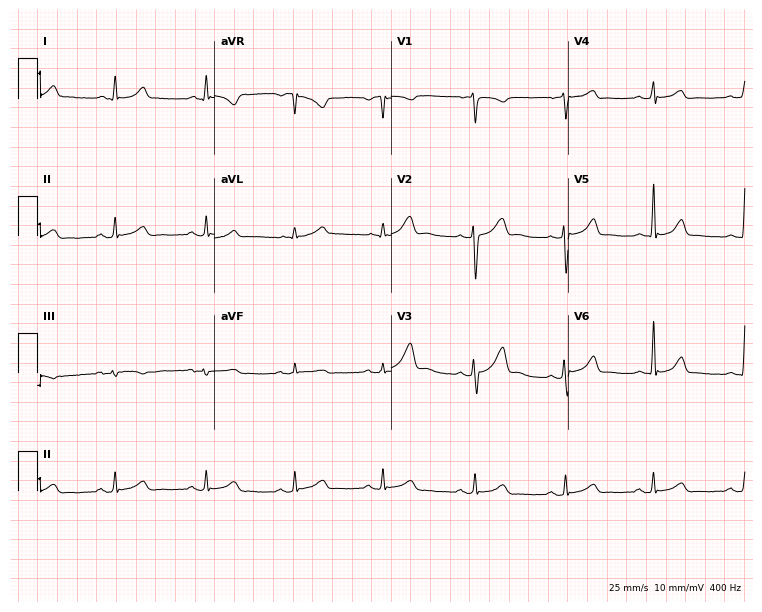
Electrocardiogram, a man, 34 years old. Of the six screened findings (first-degree AV block, right bundle branch block (RBBB), left bundle branch block (LBBB), sinus bradycardia, atrial fibrillation (AF), sinus tachycardia), none is recorded.